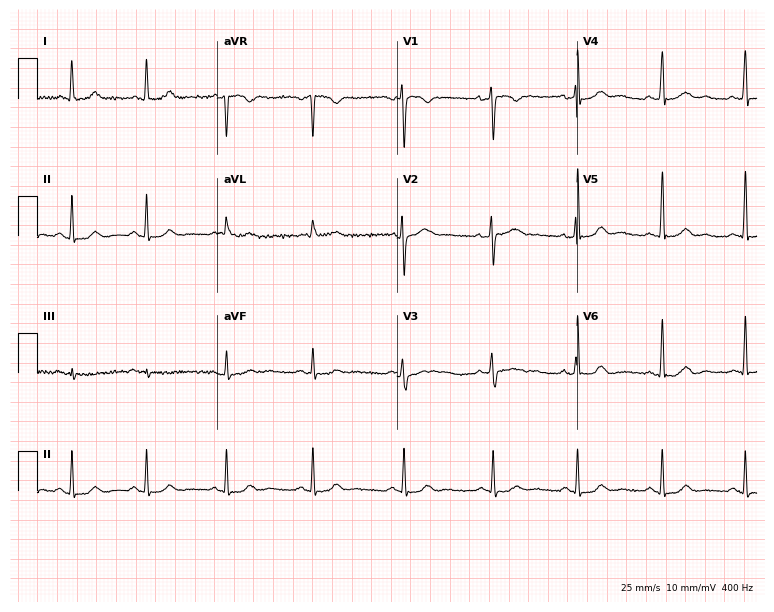
Resting 12-lead electrocardiogram (7.3-second recording at 400 Hz). Patient: a woman, 37 years old. None of these six findings is recorded: first-degree AV block, right bundle branch block, left bundle branch block, sinus bradycardia, atrial fibrillation, sinus tachycardia. Only these six findings were labelled.